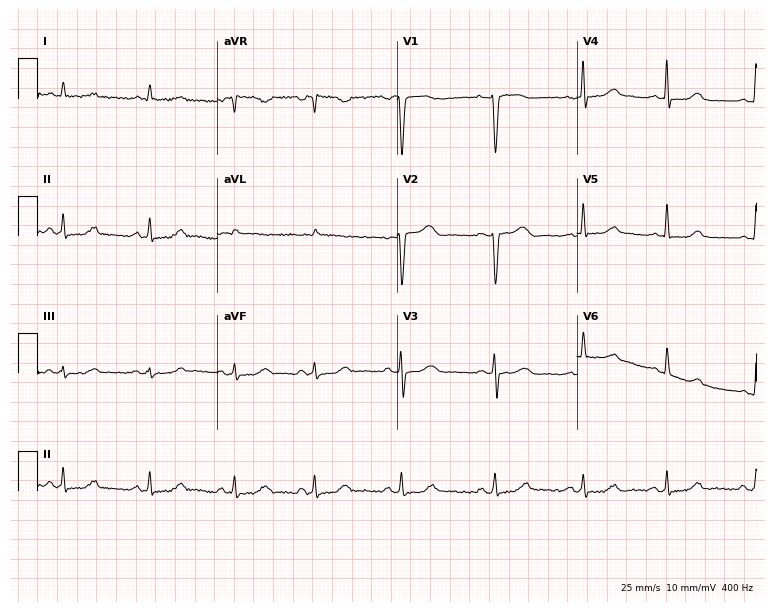
Standard 12-lead ECG recorded from a female patient, 49 years old (7.3-second recording at 400 Hz). None of these six findings is recorded: first-degree AV block, right bundle branch block, left bundle branch block, sinus bradycardia, atrial fibrillation, sinus tachycardia. Other findings, if any, are not listed.